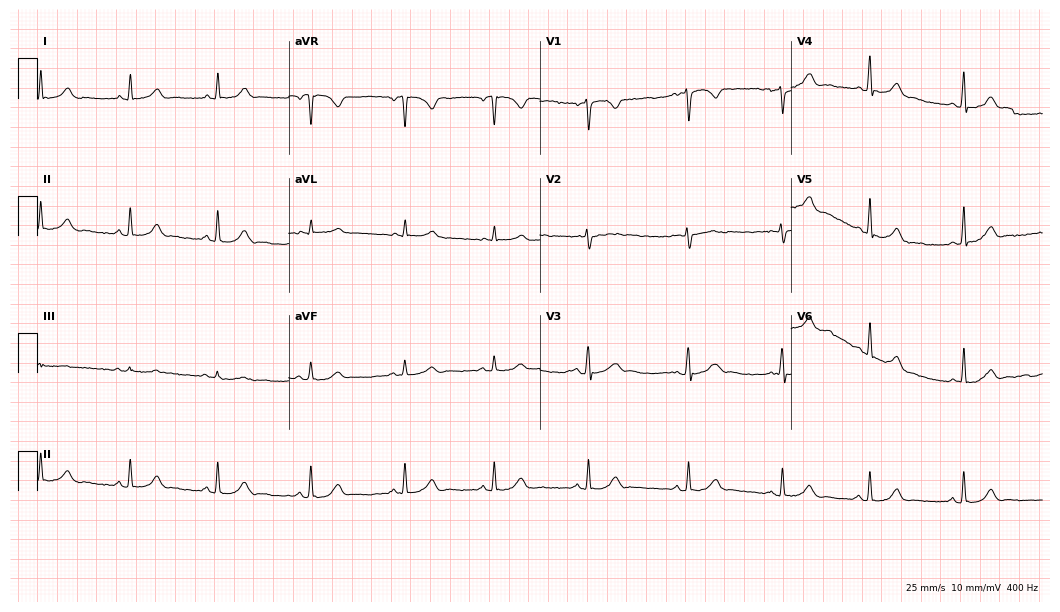
12-lead ECG from a 25-year-old female. Screened for six findings — first-degree AV block, right bundle branch block, left bundle branch block, sinus bradycardia, atrial fibrillation, sinus tachycardia — none is recorded.